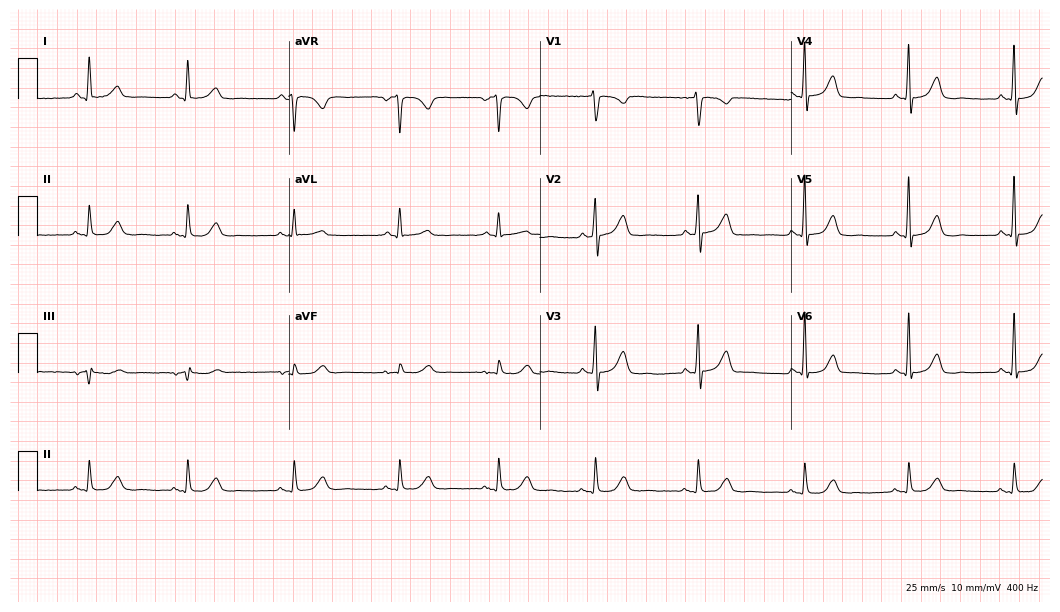
Resting 12-lead electrocardiogram. Patient: a female, 63 years old. Read as a normal ECG.